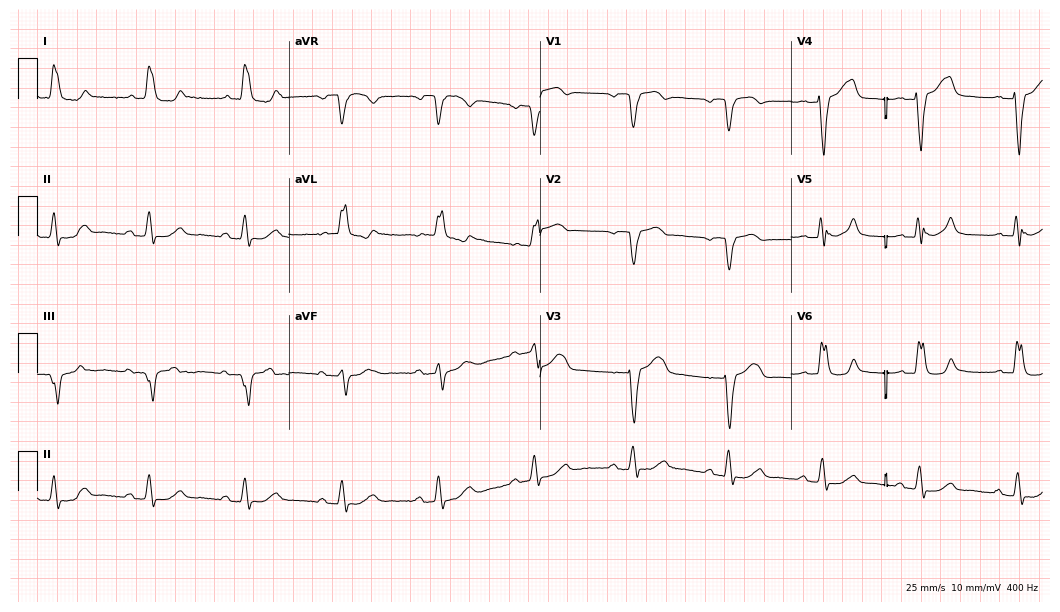
Electrocardiogram (10.2-second recording at 400 Hz), a 74-year-old female. Interpretation includes left bundle branch block.